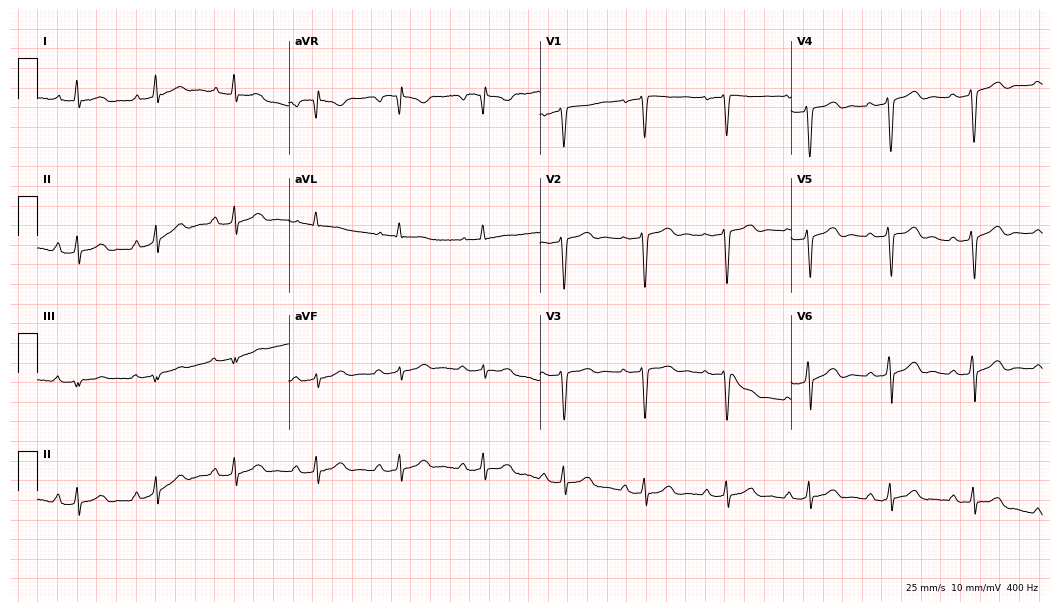
ECG — a 50-year-old female patient. Findings include first-degree AV block.